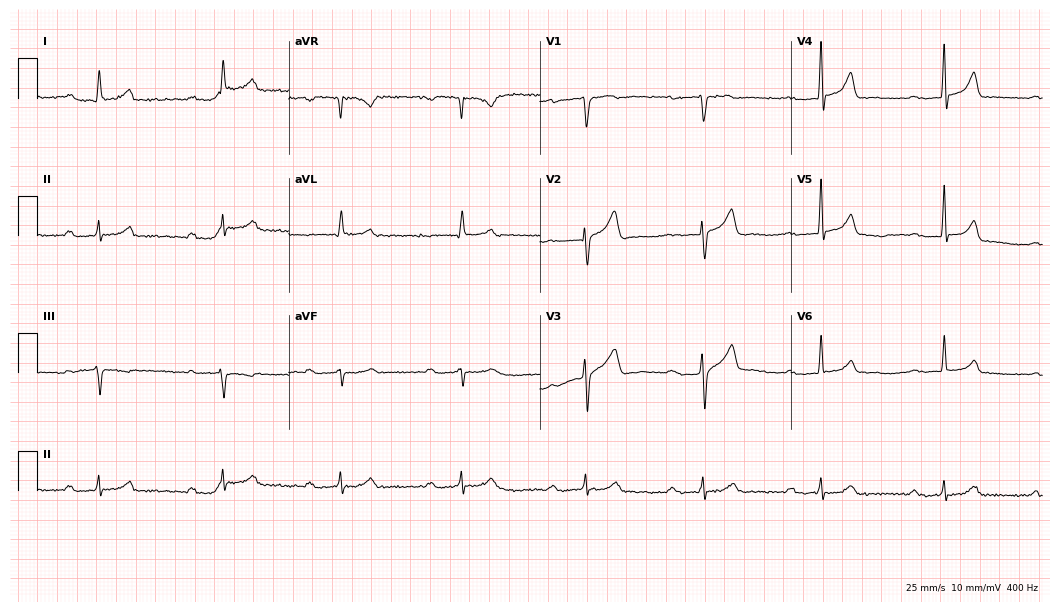
Electrocardiogram (10.2-second recording at 400 Hz), a 74-year-old man. Interpretation includes first-degree AV block, sinus bradycardia (a sinus rate of 50 beats per minute or less).